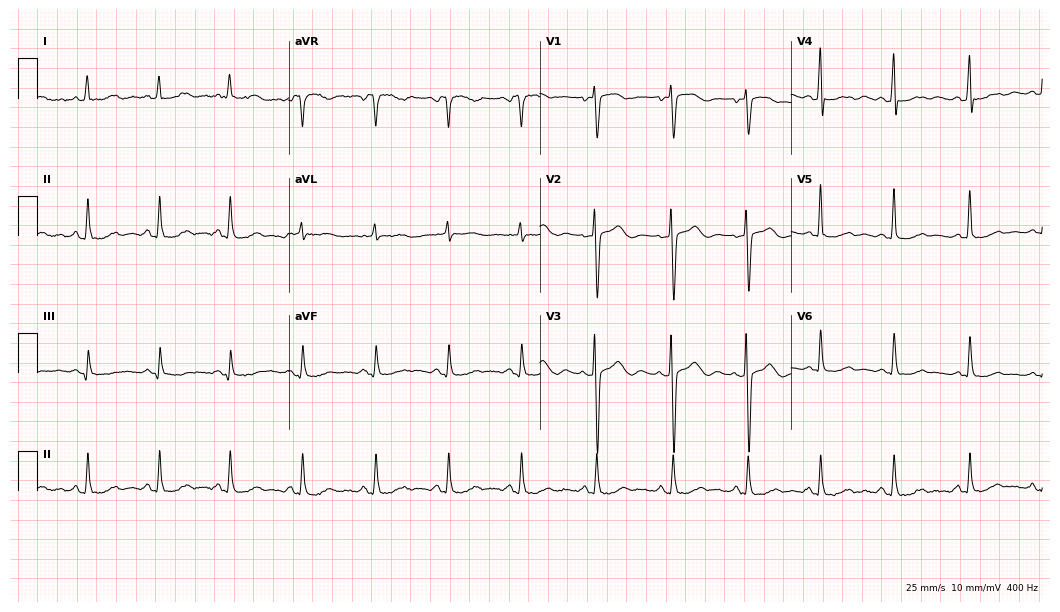
Resting 12-lead electrocardiogram. Patient: a 55-year-old female. Read as a normal ECG.